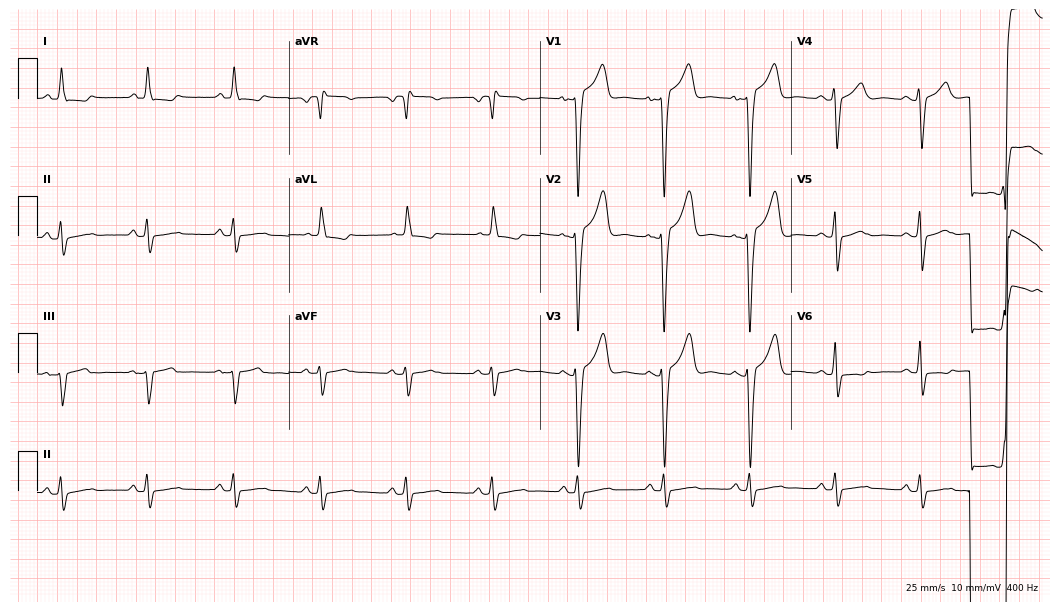
ECG — a male, 71 years old. Screened for six findings — first-degree AV block, right bundle branch block, left bundle branch block, sinus bradycardia, atrial fibrillation, sinus tachycardia — none is recorded.